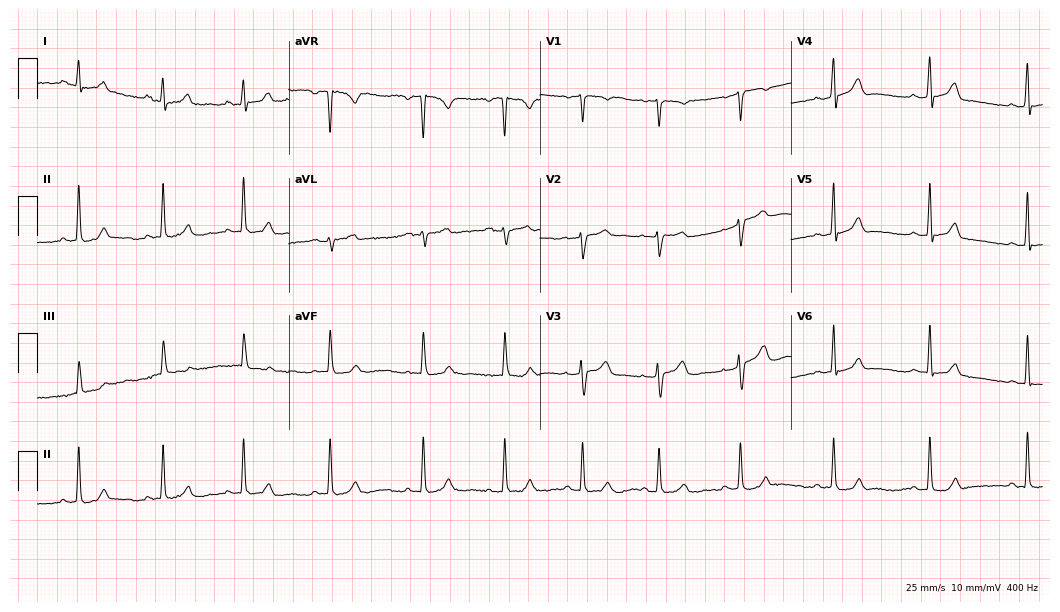
Electrocardiogram, a female patient, 41 years old. Overall reading on record: normal ECG.